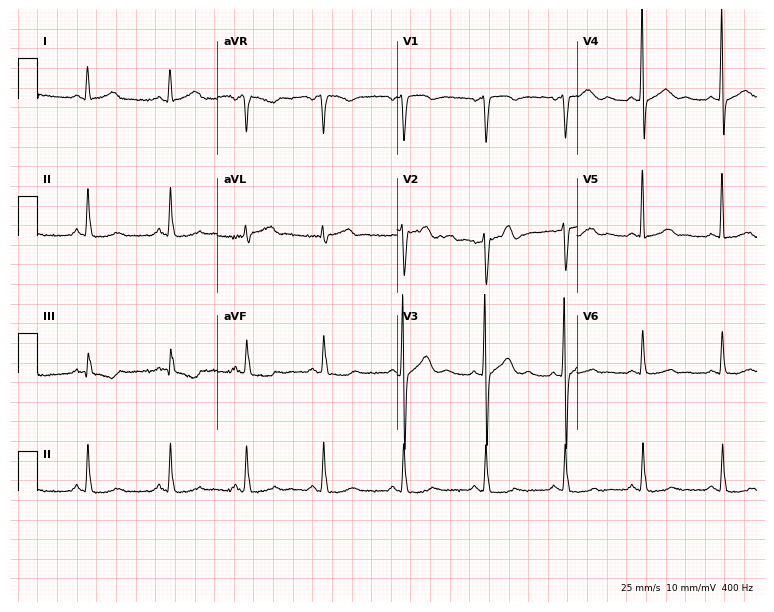
Electrocardiogram (7.3-second recording at 400 Hz), a 40-year-old female. Of the six screened findings (first-degree AV block, right bundle branch block (RBBB), left bundle branch block (LBBB), sinus bradycardia, atrial fibrillation (AF), sinus tachycardia), none is recorded.